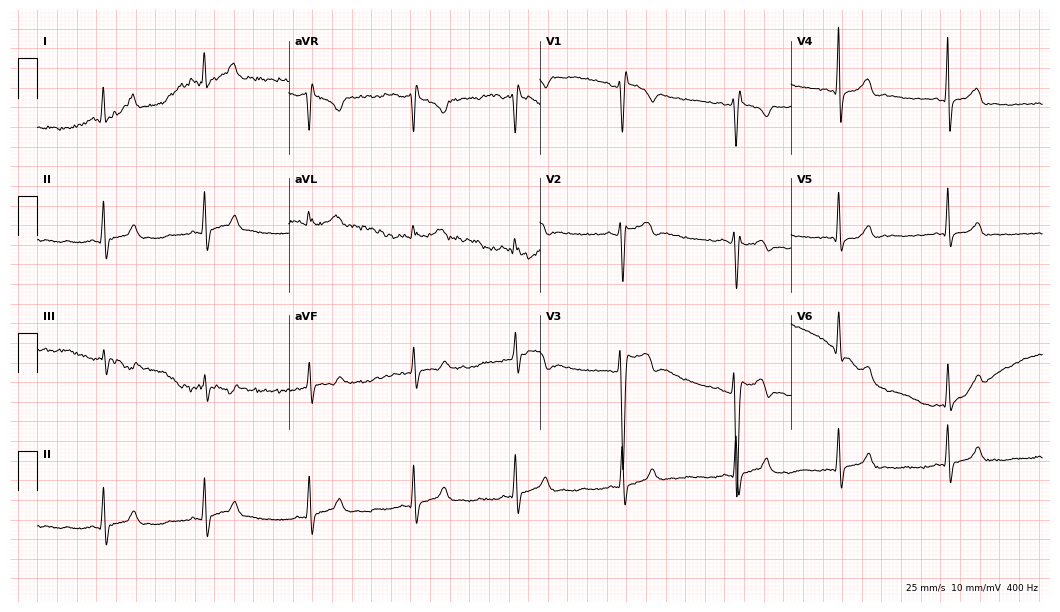
Resting 12-lead electrocardiogram. Patient: a male, 20 years old. Read as a normal ECG.